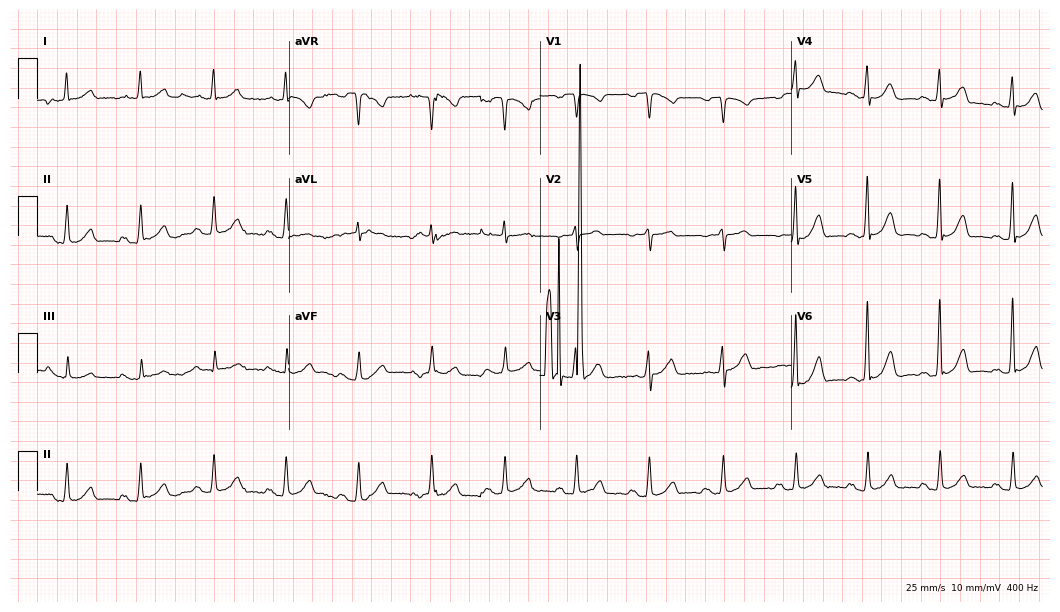
12-lead ECG from a man, 70 years old. No first-degree AV block, right bundle branch block, left bundle branch block, sinus bradycardia, atrial fibrillation or sinus tachycardia recorded for this tracing.